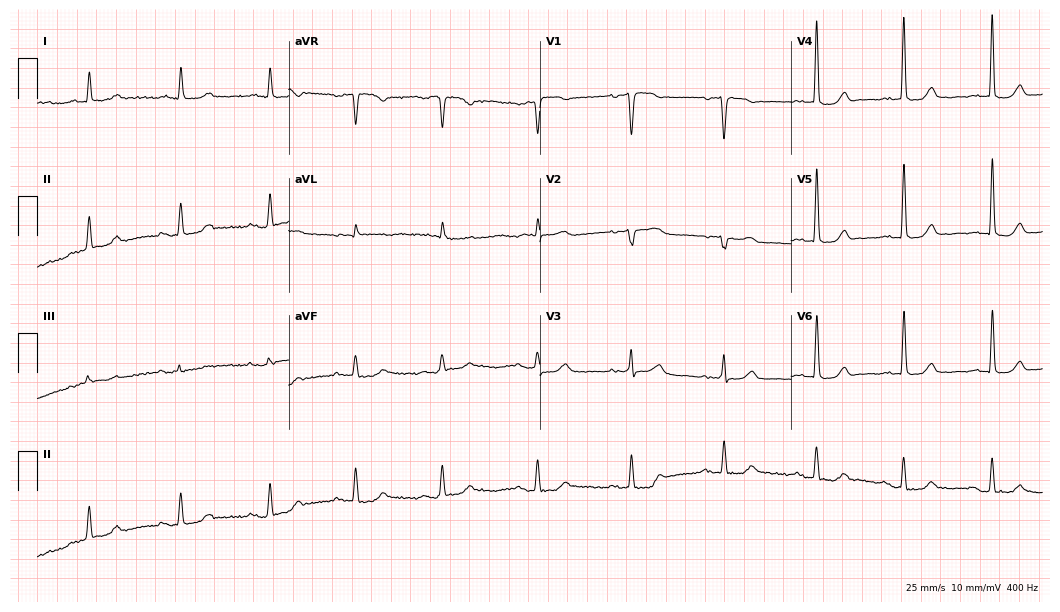
Electrocardiogram, an 81-year-old woman. Overall reading on record: normal ECG.